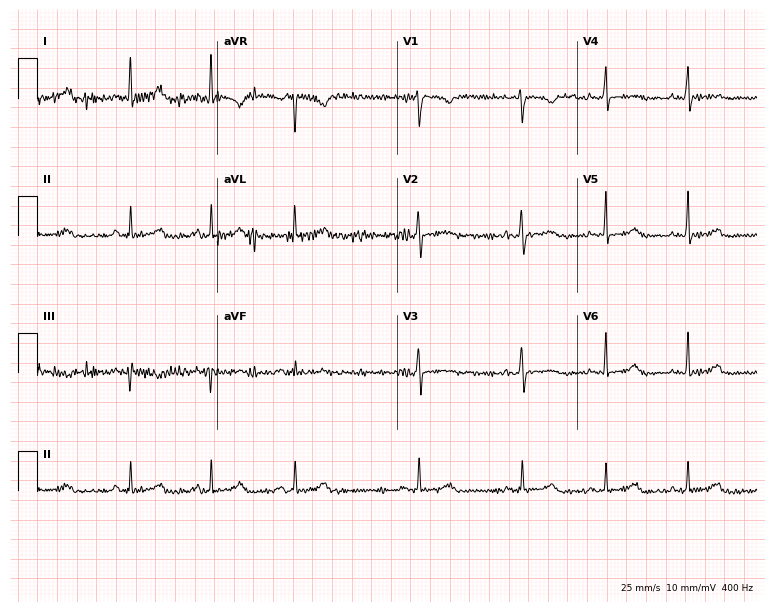
ECG (7.3-second recording at 400 Hz) — a woman, 36 years old. Screened for six findings — first-degree AV block, right bundle branch block (RBBB), left bundle branch block (LBBB), sinus bradycardia, atrial fibrillation (AF), sinus tachycardia — none is recorded. Only these six findings were labelled.